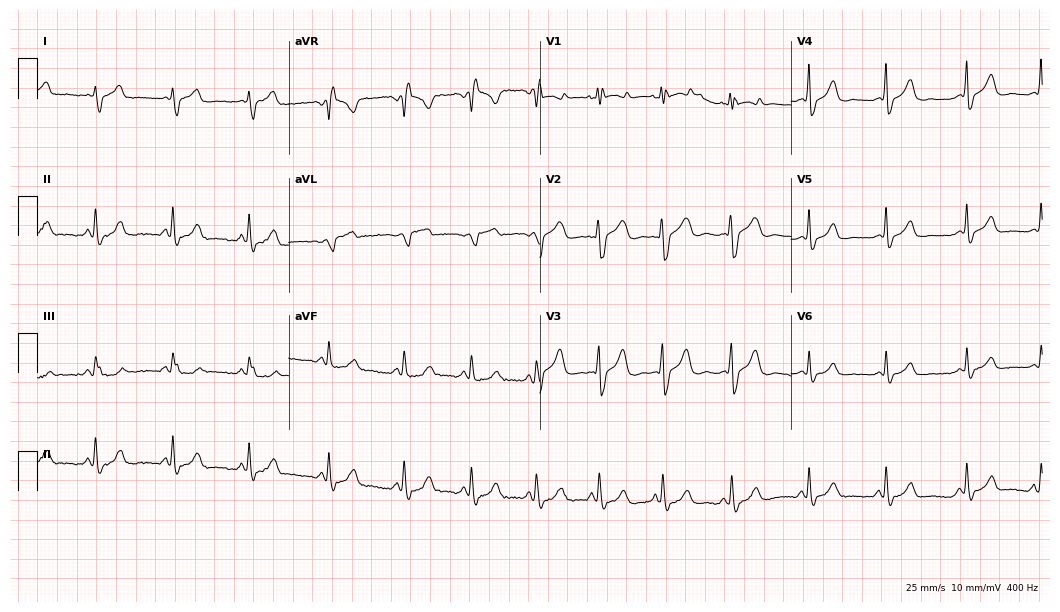
Resting 12-lead electrocardiogram. Patient: a 33-year-old female. None of these six findings is recorded: first-degree AV block, right bundle branch block (RBBB), left bundle branch block (LBBB), sinus bradycardia, atrial fibrillation (AF), sinus tachycardia.